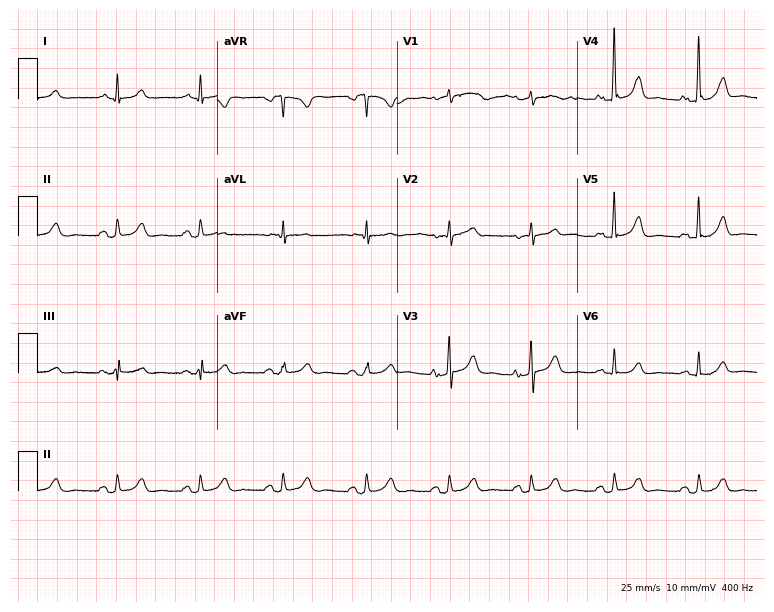
ECG (7.3-second recording at 400 Hz) — a 76-year-old female. Labelled as a normal ECG.